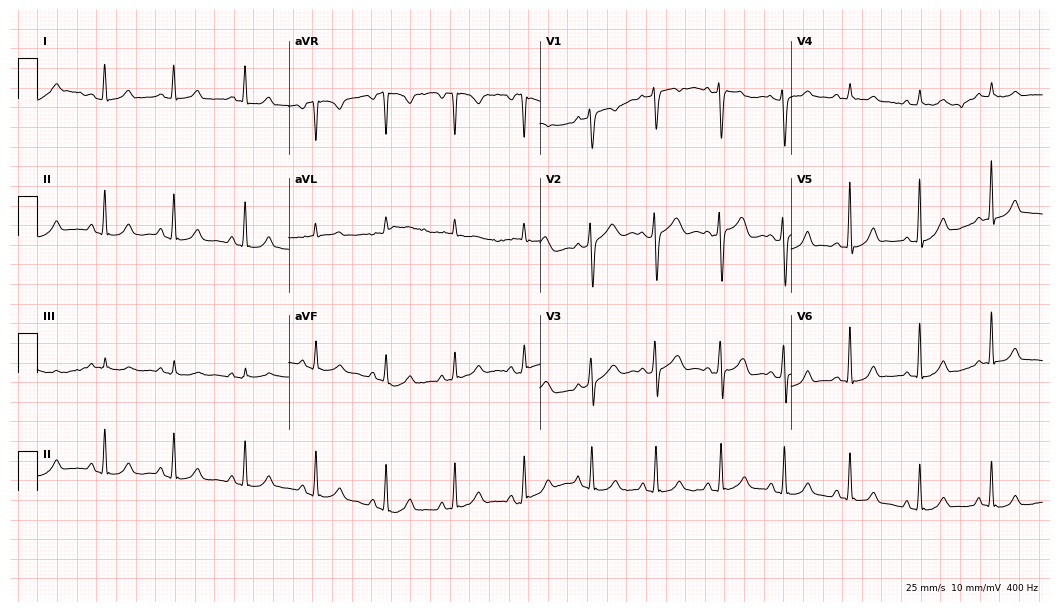
Electrocardiogram (10.2-second recording at 400 Hz), a 26-year-old female patient. Overall reading on record: normal ECG.